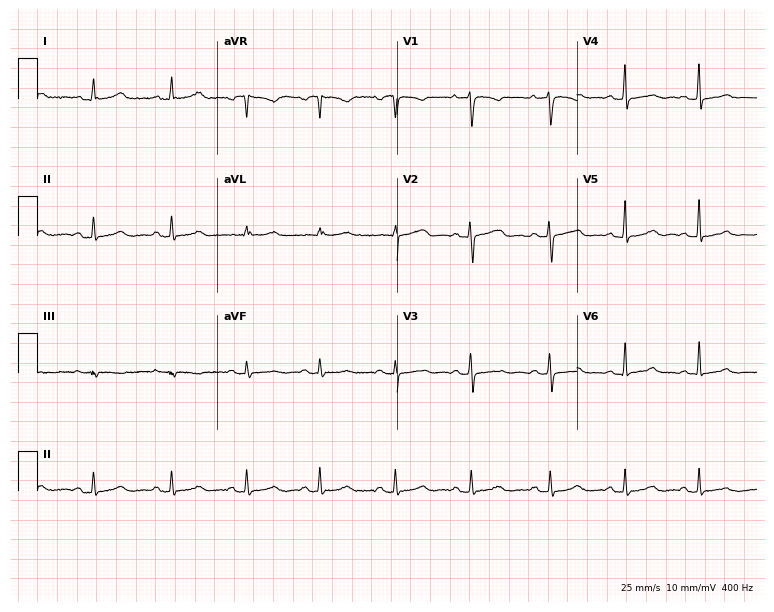
Electrocardiogram, a 29-year-old female. Overall reading on record: normal ECG.